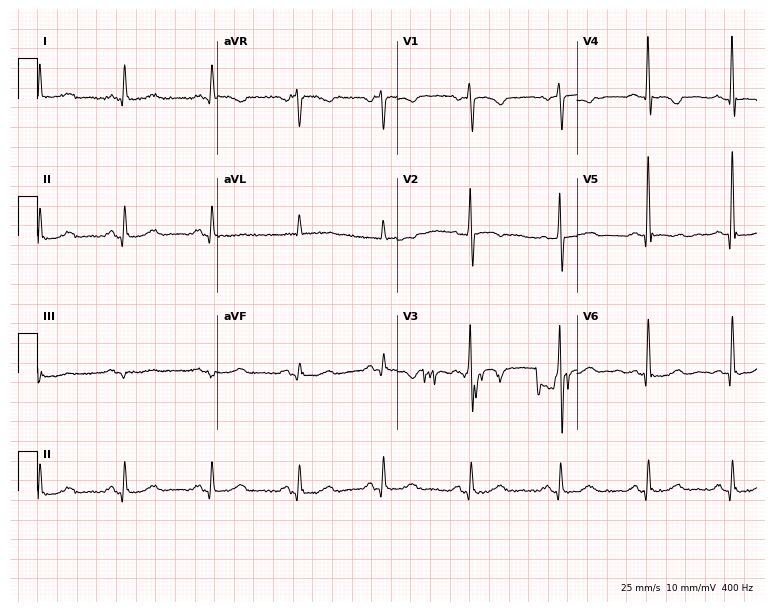
Resting 12-lead electrocardiogram. Patient: a 69-year-old female. None of these six findings is recorded: first-degree AV block, right bundle branch block, left bundle branch block, sinus bradycardia, atrial fibrillation, sinus tachycardia. Only these six findings were labelled.